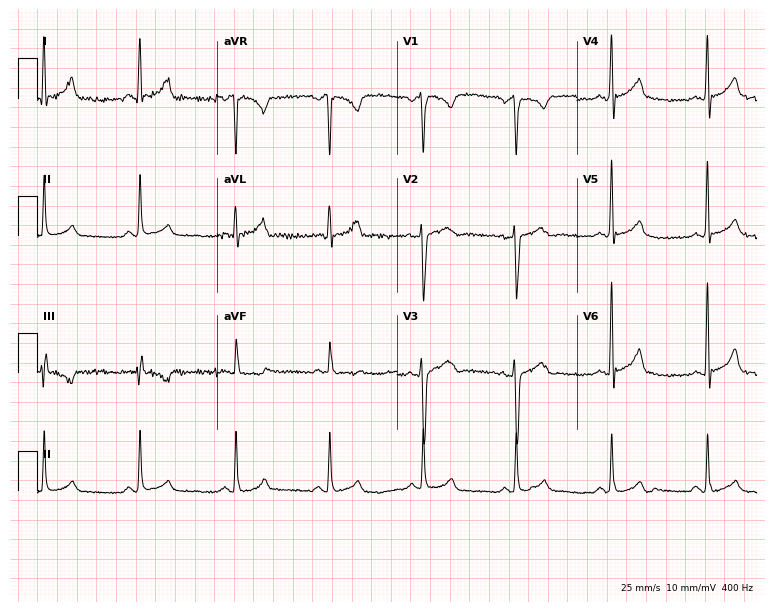
Standard 12-lead ECG recorded from a 38-year-old man. None of these six findings is recorded: first-degree AV block, right bundle branch block, left bundle branch block, sinus bradycardia, atrial fibrillation, sinus tachycardia.